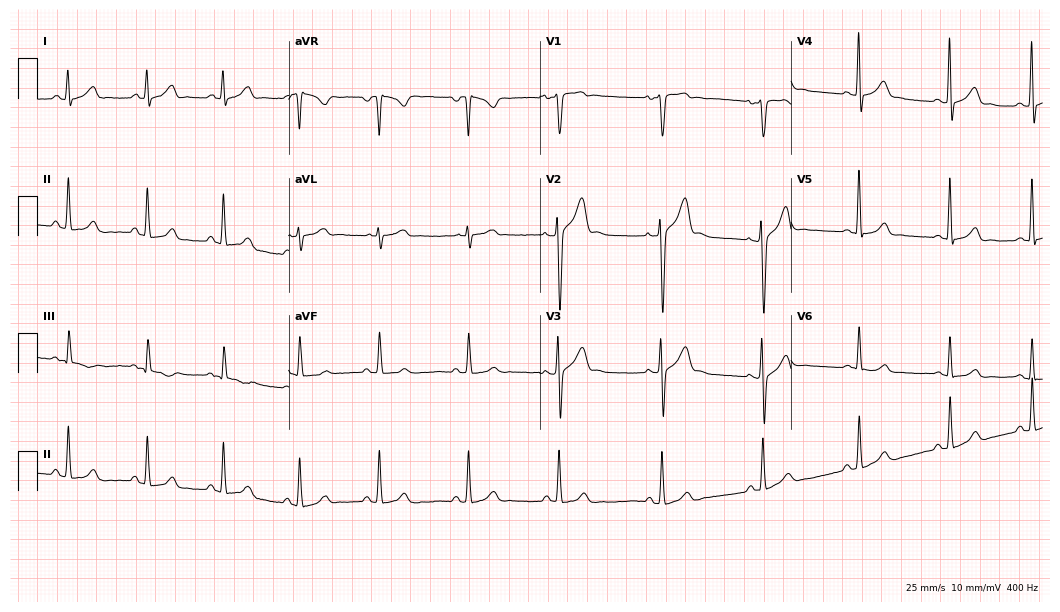
ECG (10.2-second recording at 400 Hz) — a man, 23 years old. Screened for six findings — first-degree AV block, right bundle branch block (RBBB), left bundle branch block (LBBB), sinus bradycardia, atrial fibrillation (AF), sinus tachycardia — none is recorded. Other findings, if any, are not listed.